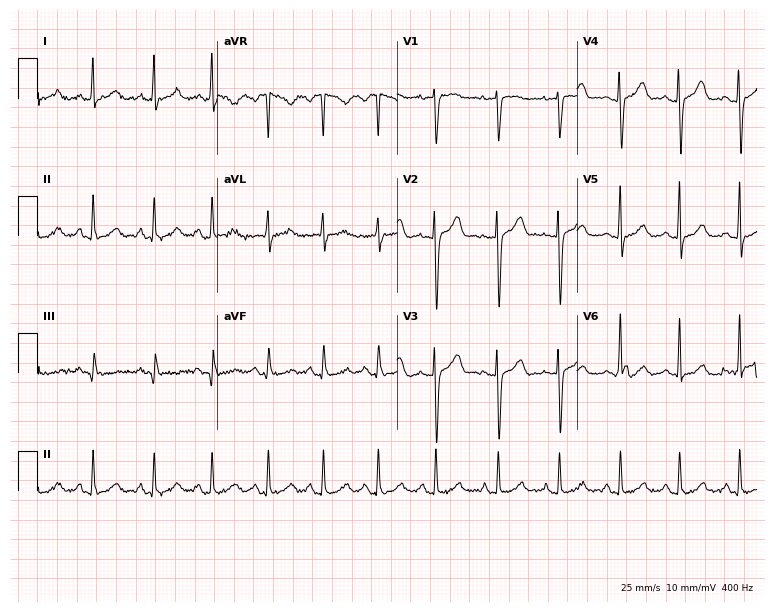
12-lead ECG from a female, 22 years old. Shows sinus tachycardia (a sinus rate of 100 beats per minute or more).